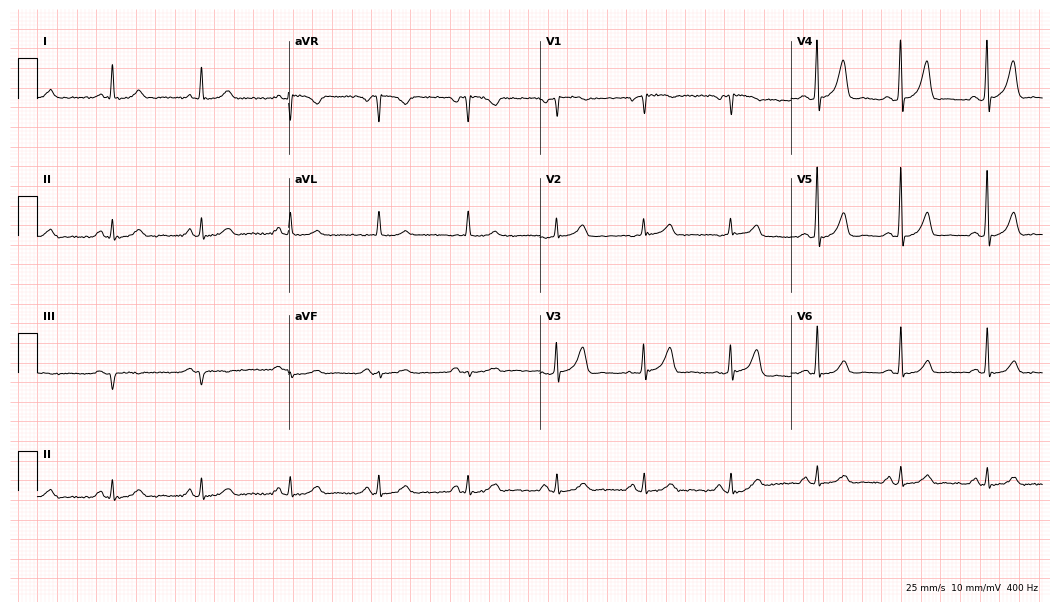
Electrocardiogram (10.2-second recording at 400 Hz), a 73-year-old man. Of the six screened findings (first-degree AV block, right bundle branch block, left bundle branch block, sinus bradycardia, atrial fibrillation, sinus tachycardia), none is recorded. Findings outside these six are not listed.